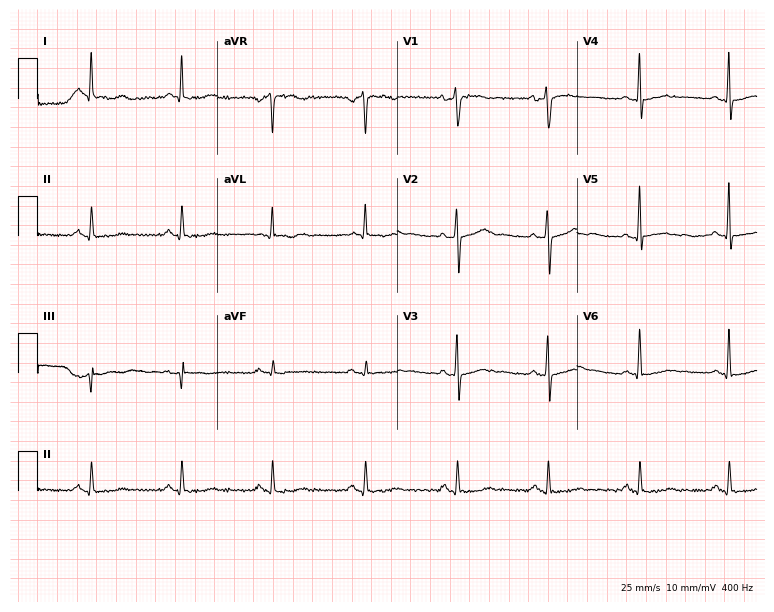
Electrocardiogram (7.3-second recording at 400 Hz), a 54-year-old female patient. Of the six screened findings (first-degree AV block, right bundle branch block (RBBB), left bundle branch block (LBBB), sinus bradycardia, atrial fibrillation (AF), sinus tachycardia), none is recorded. Other findings, if any, are not listed.